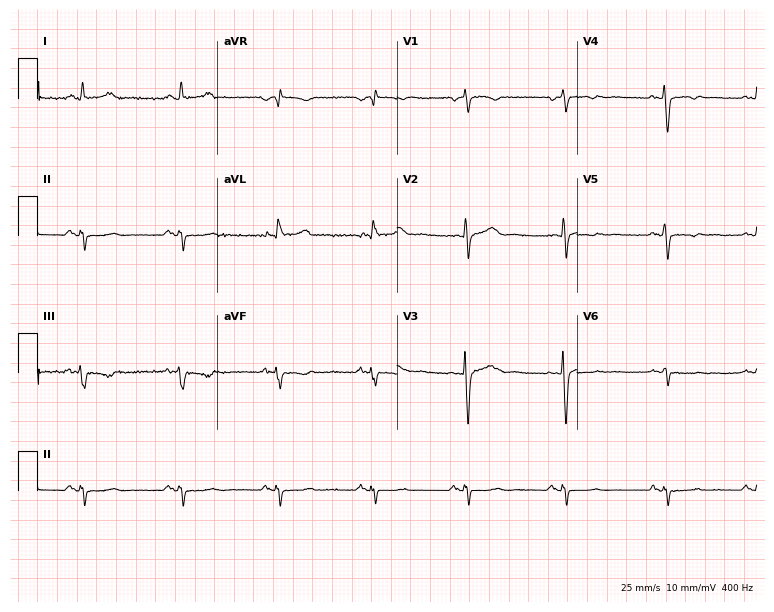
ECG — a female patient, 75 years old. Screened for six findings — first-degree AV block, right bundle branch block (RBBB), left bundle branch block (LBBB), sinus bradycardia, atrial fibrillation (AF), sinus tachycardia — none is recorded. Only these six findings were labelled.